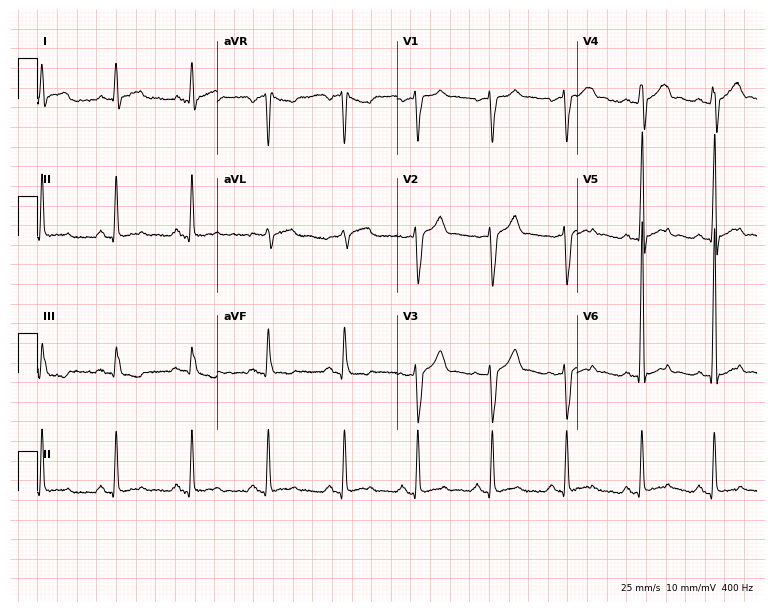
Resting 12-lead electrocardiogram. Patient: a 44-year-old man. None of these six findings is recorded: first-degree AV block, right bundle branch block (RBBB), left bundle branch block (LBBB), sinus bradycardia, atrial fibrillation (AF), sinus tachycardia.